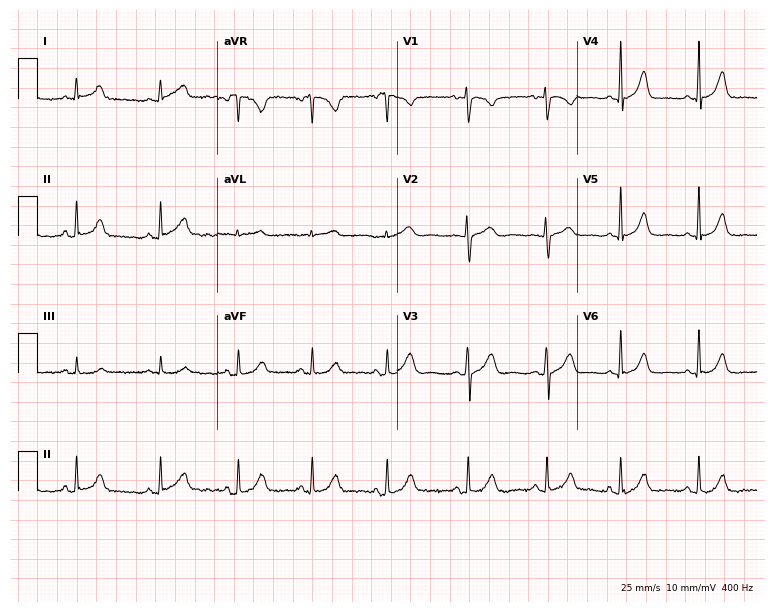
12-lead ECG from a female patient, 31 years old (7.3-second recording at 400 Hz). No first-degree AV block, right bundle branch block (RBBB), left bundle branch block (LBBB), sinus bradycardia, atrial fibrillation (AF) or sinus tachycardia recorded for this tracing.